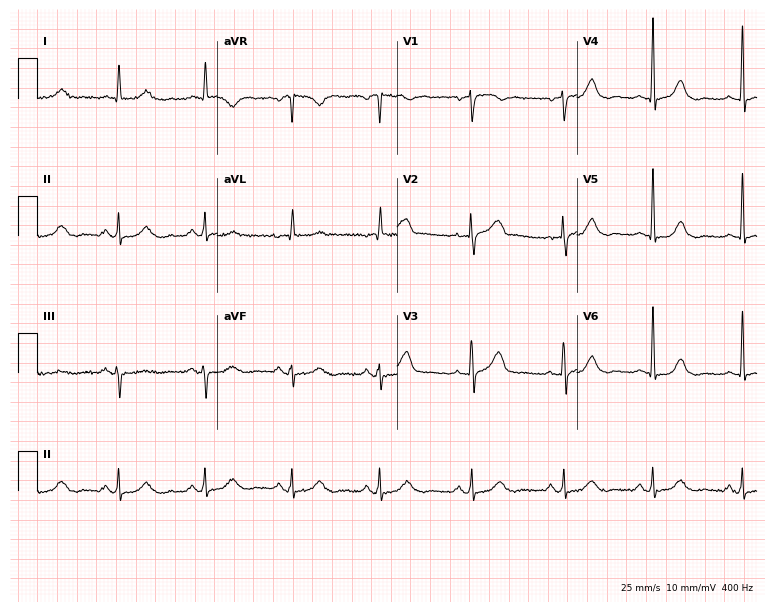
12-lead ECG from a 71-year-old female. Screened for six findings — first-degree AV block, right bundle branch block, left bundle branch block, sinus bradycardia, atrial fibrillation, sinus tachycardia — none is recorded. Only these six findings were labelled.